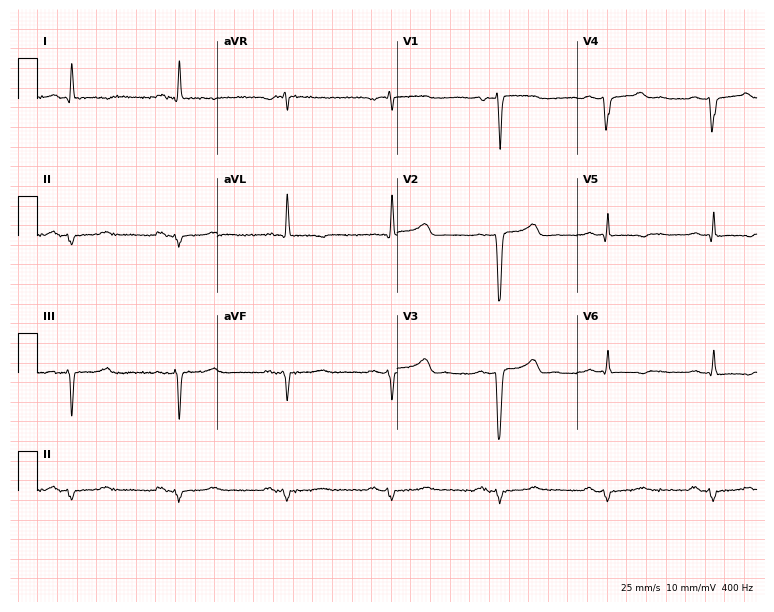
Resting 12-lead electrocardiogram (7.3-second recording at 400 Hz). Patient: a 59-year-old female. None of these six findings is recorded: first-degree AV block, right bundle branch block, left bundle branch block, sinus bradycardia, atrial fibrillation, sinus tachycardia.